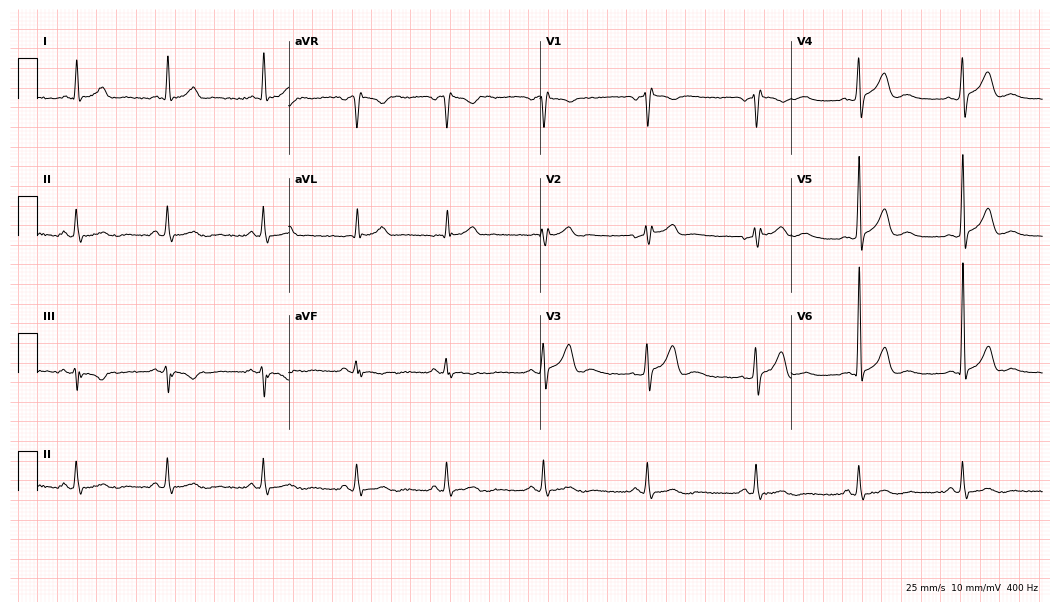
Standard 12-lead ECG recorded from a male, 35 years old (10.2-second recording at 400 Hz). None of these six findings is recorded: first-degree AV block, right bundle branch block (RBBB), left bundle branch block (LBBB), sinus bradycardia, atrial fibrillation (AF), sinus tachycardia.